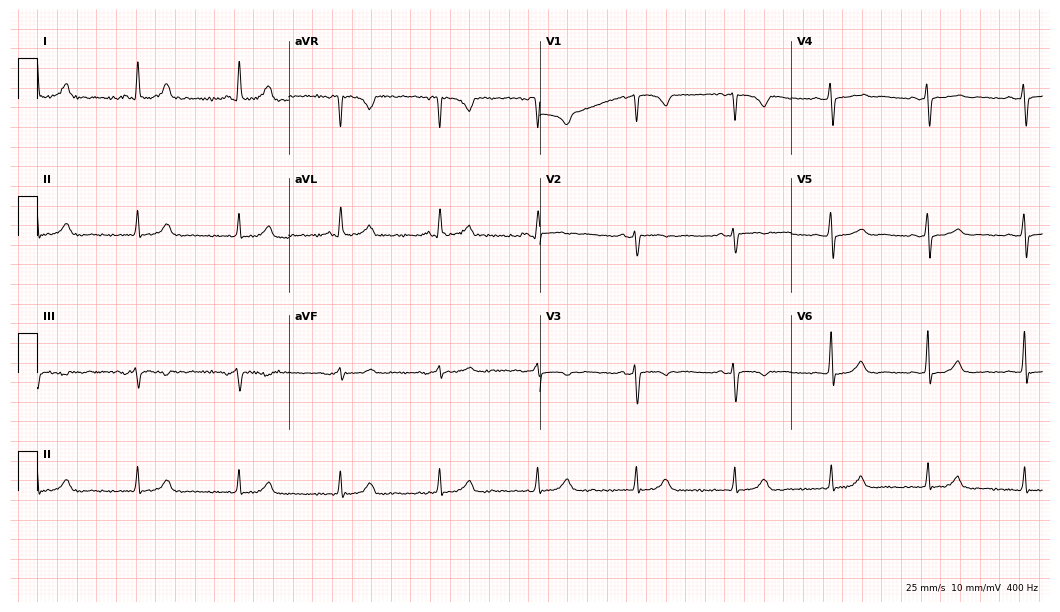
Standard 12-lead ECG recorded from a 57-year-old woman. None of these six findings is recorded: first-degree AV block, right bundle branch block, left bundle branch block, sinus bradycardia, atrial fibrillation, sinus tachycardia. Only these six findings were labelled.